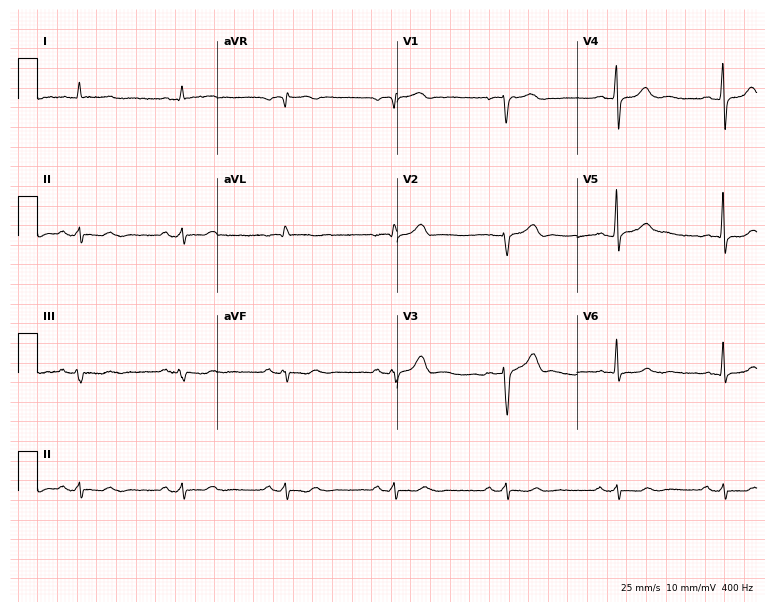
ECG (7.3-second recording at 400 Hz) — a male, 68 years old. Screened for six findings — first-degree AV block, right bundle branch block, left bundle branch block, sinus bradycardia, atrial fibrillation, sinus tachycardia — none is recorded.